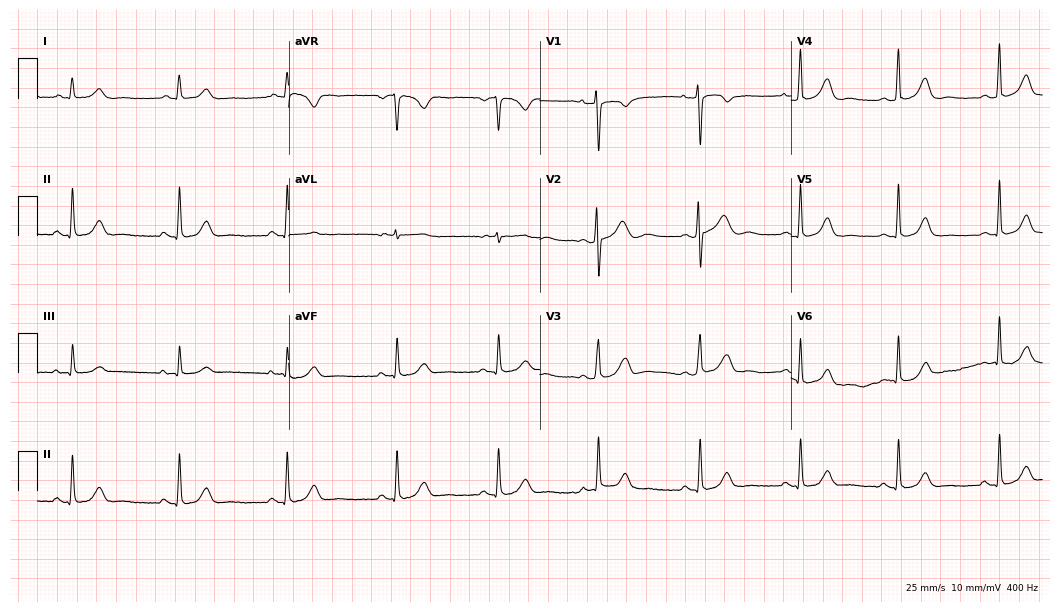
Standard 12-lead ECG recorded from a female patient, 39 years old. Read as a normal ECG.